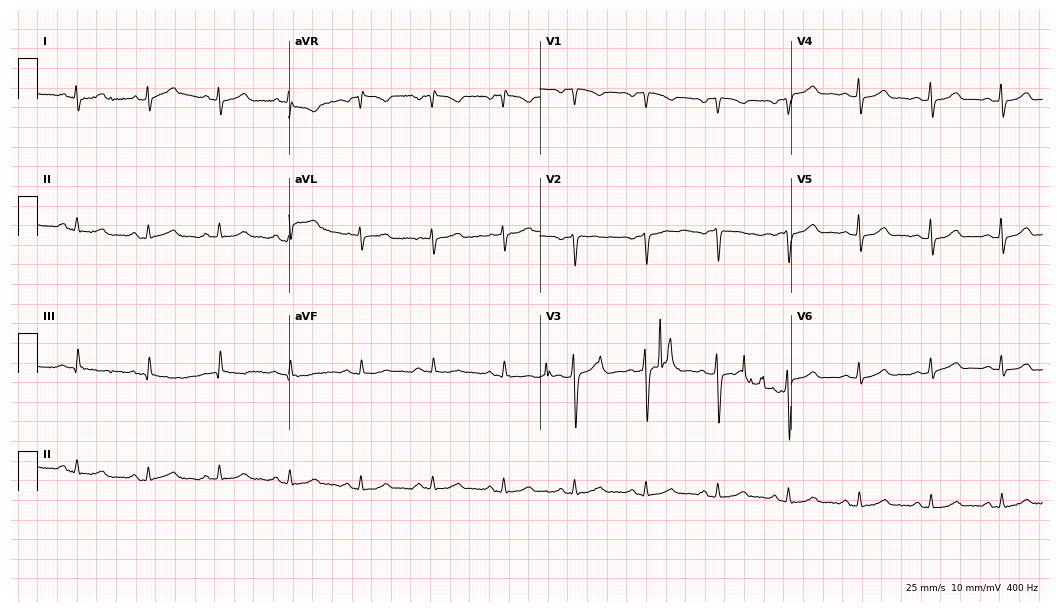
12-lead ECG (10.2-second recording at 400 Hz) from a female patient, 40 years old. Labelled as a normal ECG.